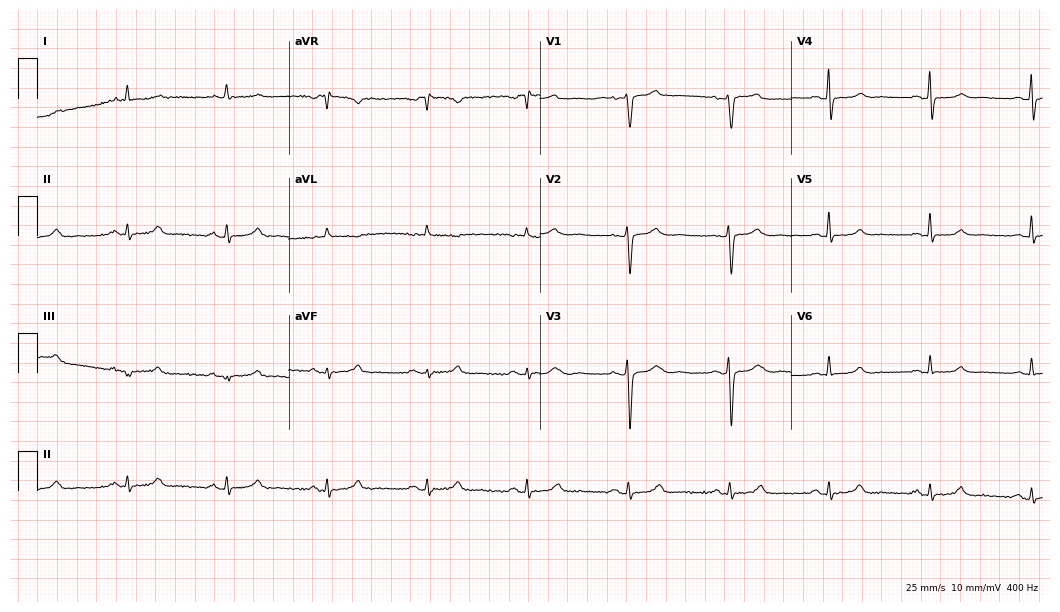
ECG (10.2-second recording at 400 Hz) — a 61-year-old female patient. Screened for six findings — first-degree AV block, right bundle branch block, left bundle branch block, sinus bradycardia, atrial fibrillation, sinus tachycardia — none is recorded.